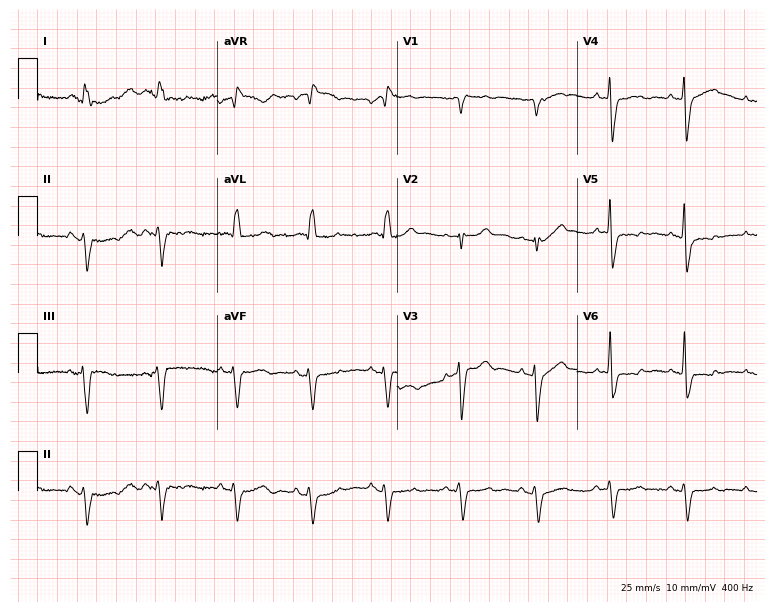
12-lead ECG (7.3-second recording at 400 Hz) from a man, 85 years old. Screened for six findings — first-degree AV block, right bundle branch block, left bundle branch block, sinus bradycardia, atrial fibrillation, sinus tachycardia — none is recorded.